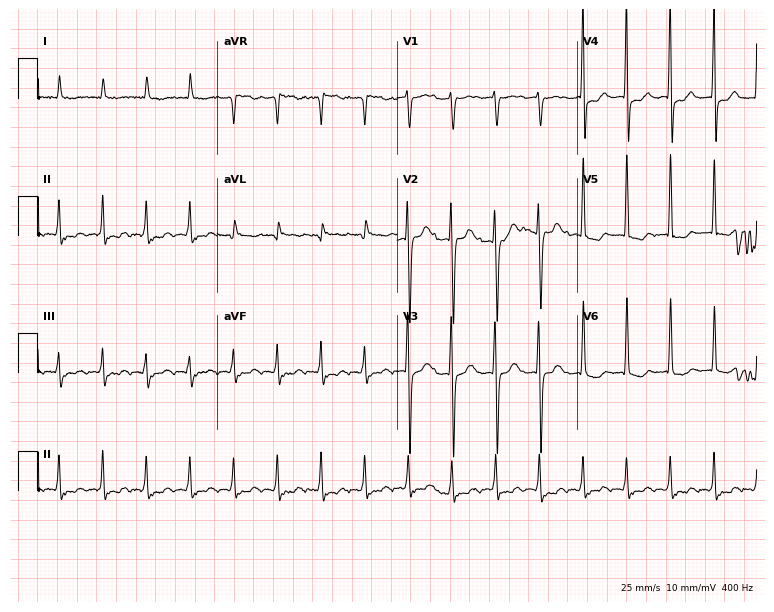
ECG — a female patient, 78 years old. Screened for six findings — first-degree AV block, right bundle branch block, left bundle branch block, sinus bradycardia, atrial fibrillation, sinus tachycardia — none is recorded.